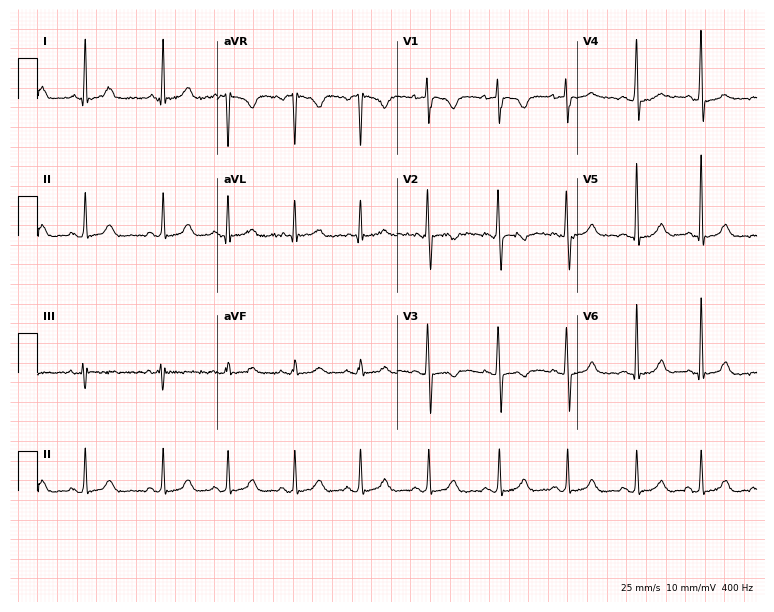
12-lead ECG from a female, 31 years old (7.3-second recording at 400 Hz). Recorded interpretation: within normal limits.